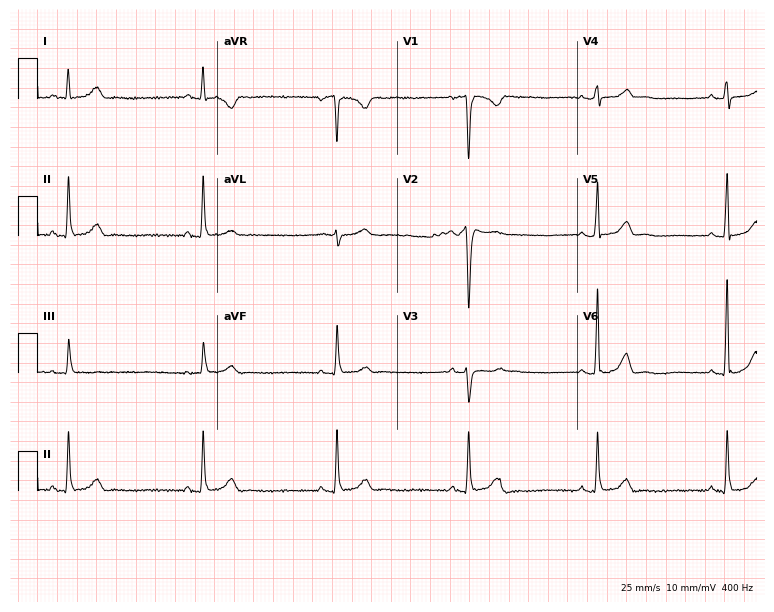
Electrocardiogram (7.3-second recording at 400 Hz), a male, 49 years old. Interpretation includes sinus bradycardia (a sinus rate of 50 beats per minute or less).